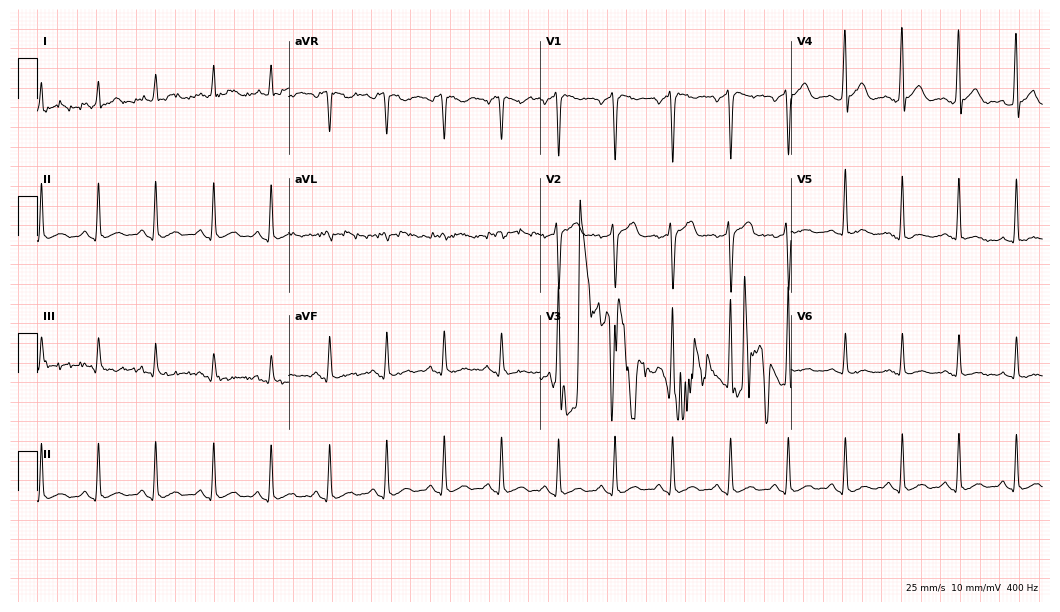
Electrocardiogram, a male, 41 years old. Of the six screened findings (first-degree AV block, right bundle branch block (RBBB), left bundle branch block (LBBB), sinus bradycardia, atrial fibrillation (AF), sinus tachycardia), none is recorded. Other findings, if any, are not listed.